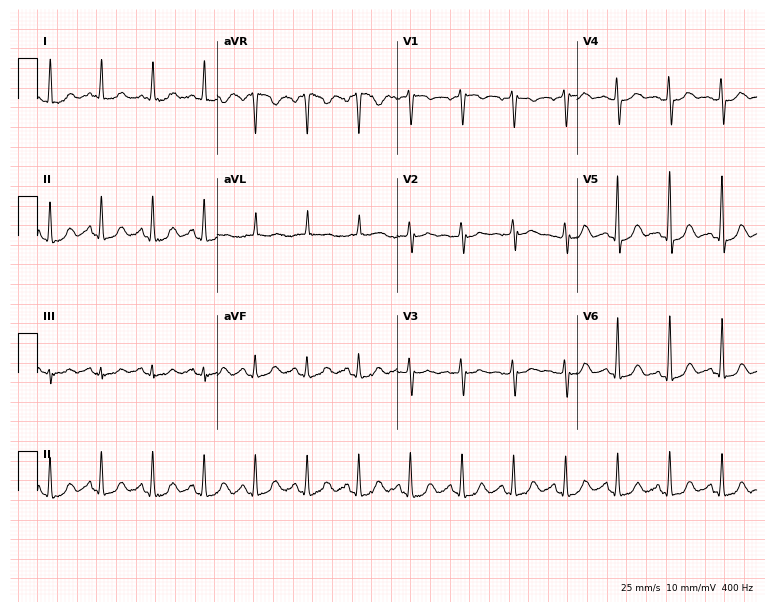
ECG (7.3-second recording at 400 Hz) — a woman, 69 years old. Findings include sinus tachycardia (a sinus rate of 100 beats per minute or more).